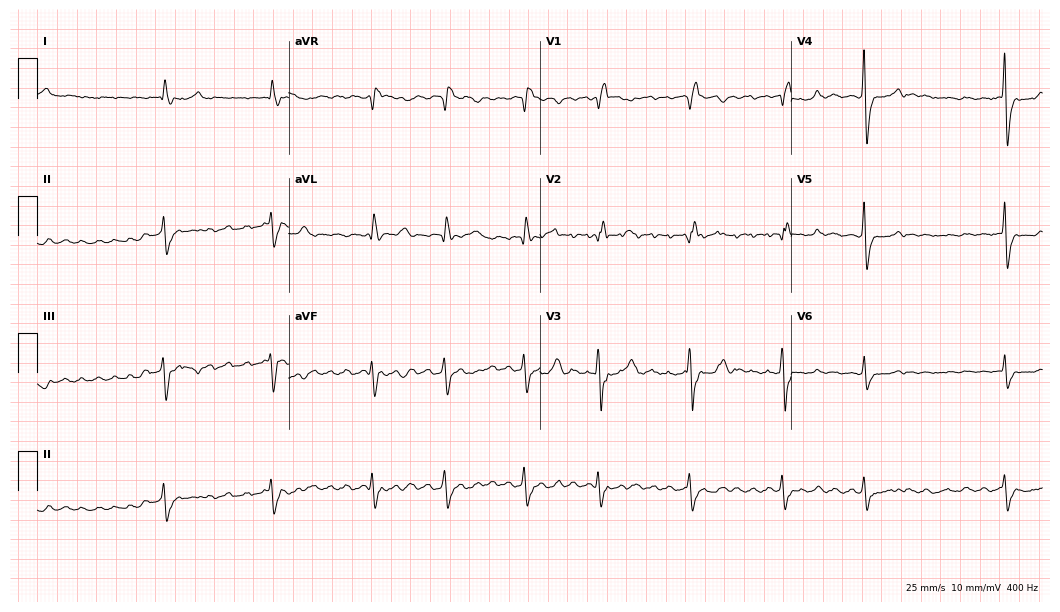
Electrocardiogram, an 84-year-old man. Interpretation includes right bundle branch block, atrial fibrillation.